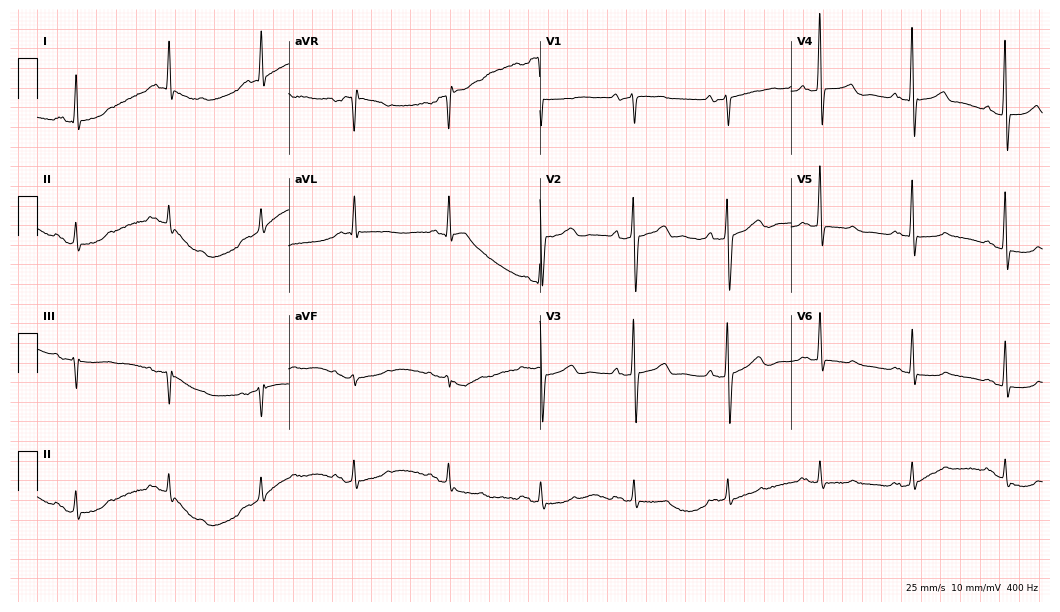
12-lead ECG from an 82-year-old man (10.2-second recording at 400 Hz). Recorded interpretation: within normal limits.